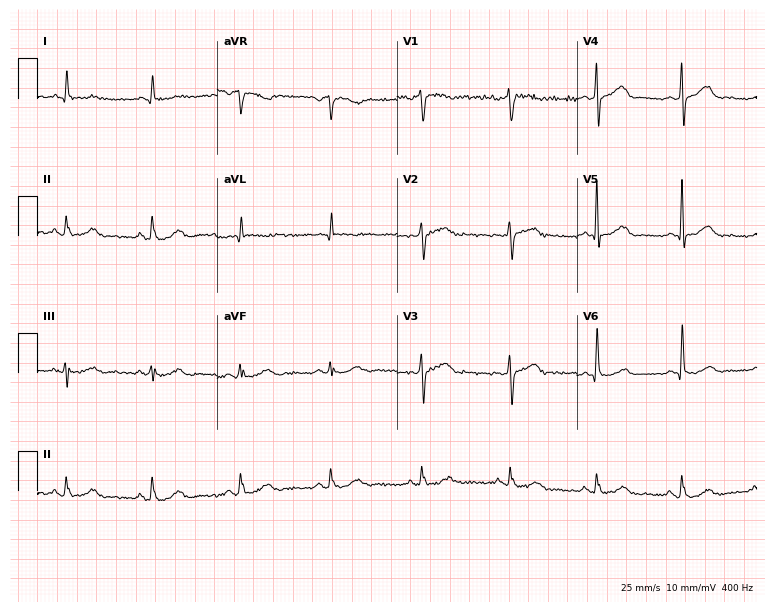
12-lead ECG from a 73-year-old man (7.3-second recording at 400 Hz). No first-degree AV block, right bundle branch block, left bundle branch block, sinus bradycardia, atrial fibrillation or sinus tachycardia recorded for this tracing.